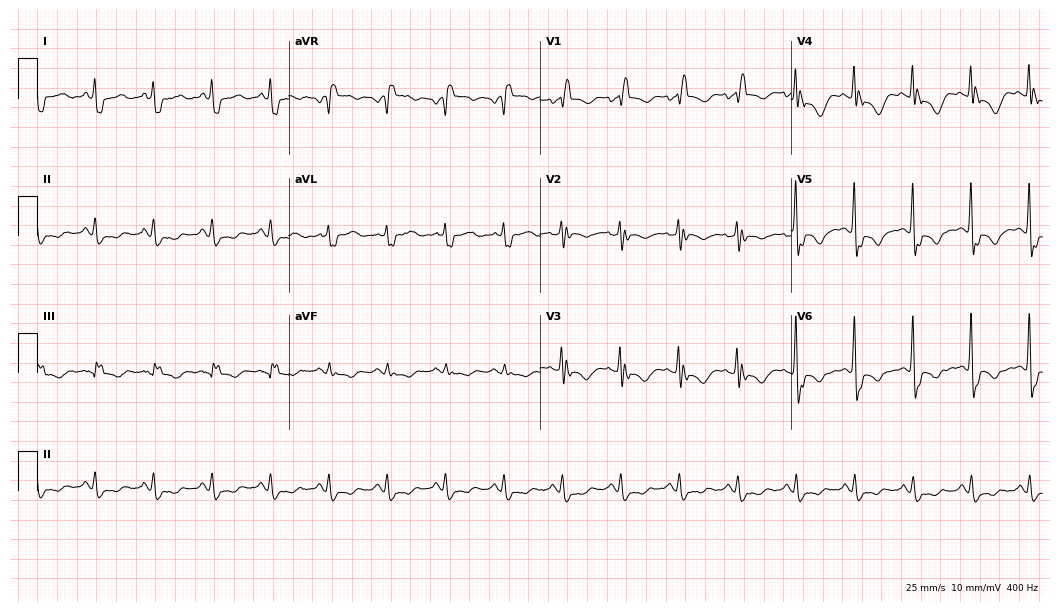
Standard 12-lead ECG recorded from a woman, 83 years old. The tracing shows right bundle branch block.